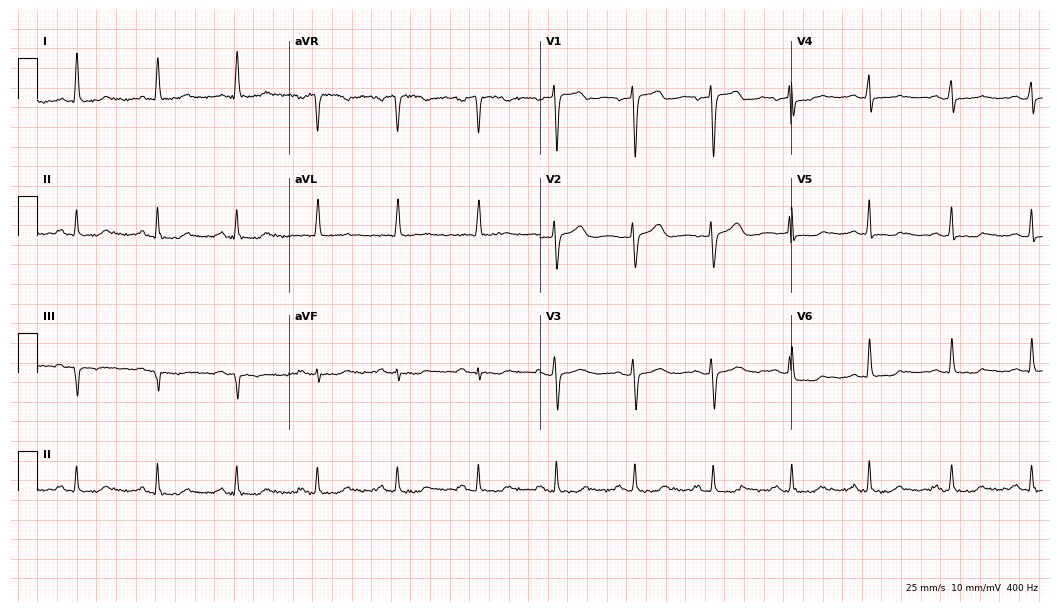
Electrocardiogram (10.2-second recording at 400 Hz), a 63-year-old woman. Of the six screened findings (first-degree AV block, right bundle branch block, left bundle branch block, sinus bradycardia, atrial fibrillation, sinus tachycardia), none is recorded. Other findings, if any, are not listed.